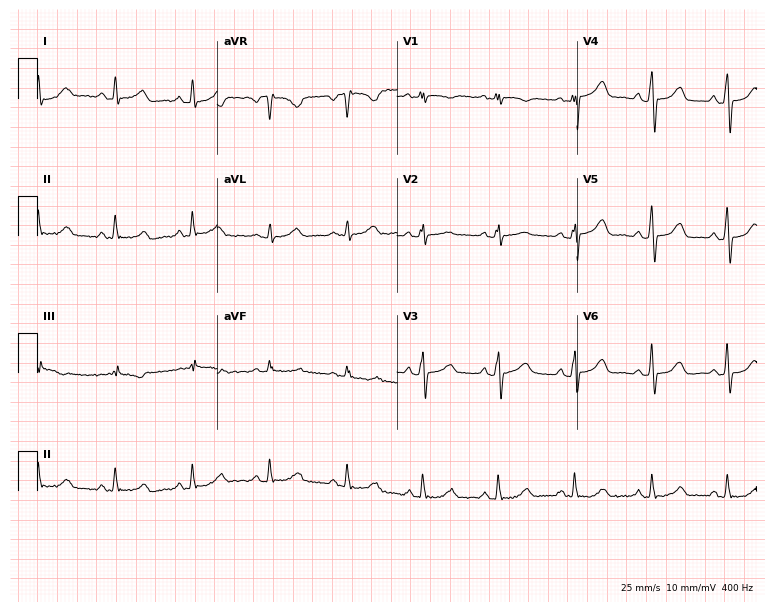
12-lead ECG from a female, 48 years old. No first-degree AV block, right bundle branch block (RBBB), left bundle branch block (LBBB), sinus bradycardia, atrial fibrillation (AF) or sinus tachycardia recorded for this tracing.